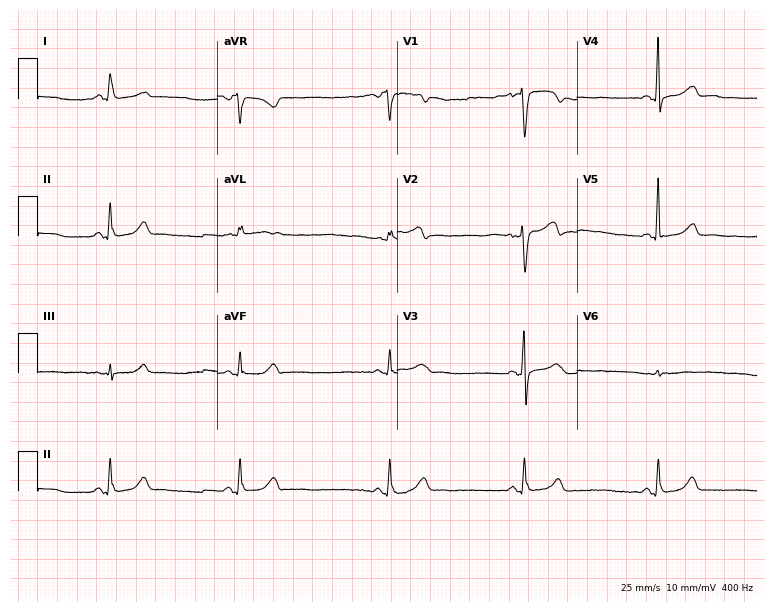
Resting 12-lead electrocardiogram (7.3-second recording at 400 Hz). Patient: a 61-year-old female. The tracing shows sinus bradycardia (a sinus rate of 50 beats per minute or less).